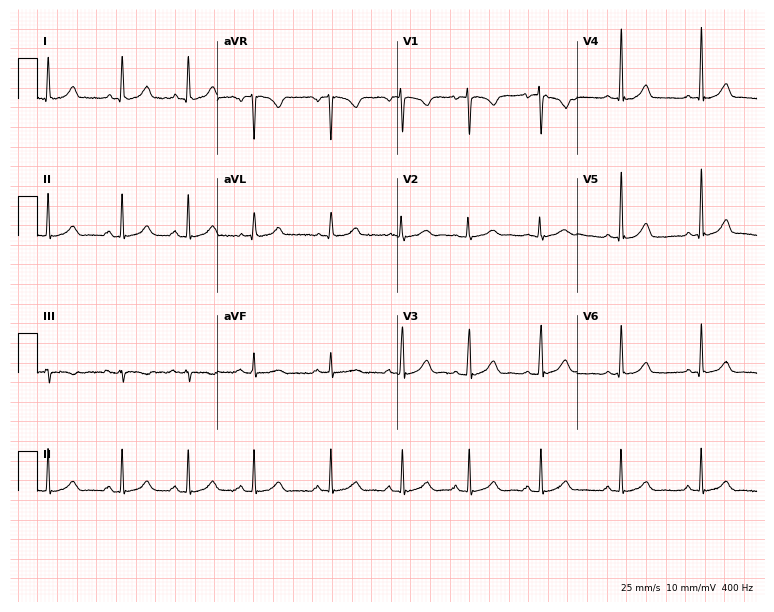
Resting 12-lead electrocardiogram (7.3-second recording at 400 Hz). Patient: a female, 23 years old. None of these six findings is recorded: first-degree AV block, right bundle branch block (RBBB), left bundle branch block (LBBB), sinus bradycardia, atrial fibrillation (AF), sinus tachycardia.